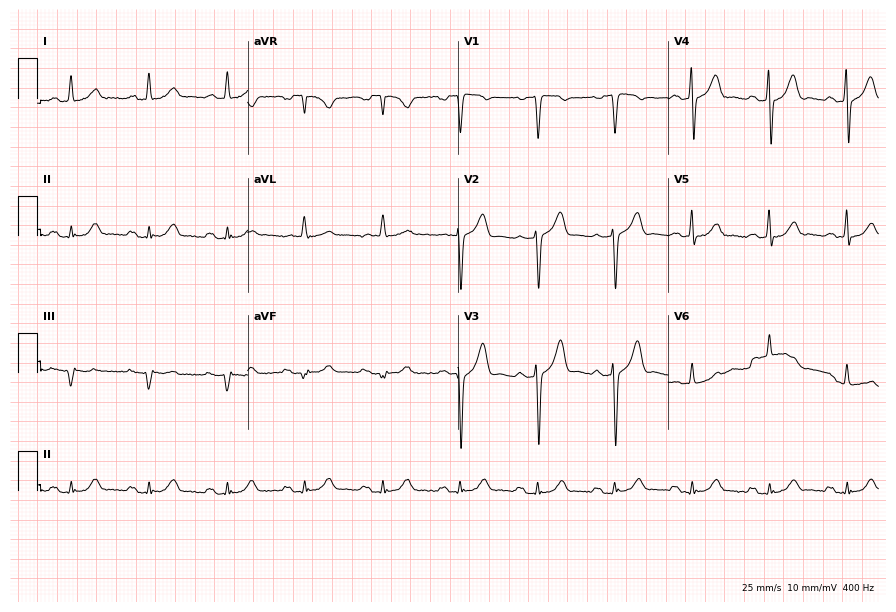
12-lead ECG from a 74-year-old male. No first-degree AV block, right bundle branch block (RBBB), left bundle branch block (LBBB), sinus bradycardia, atrial fibrillation (AF) or sinus tachycardia recorded for this tracing.